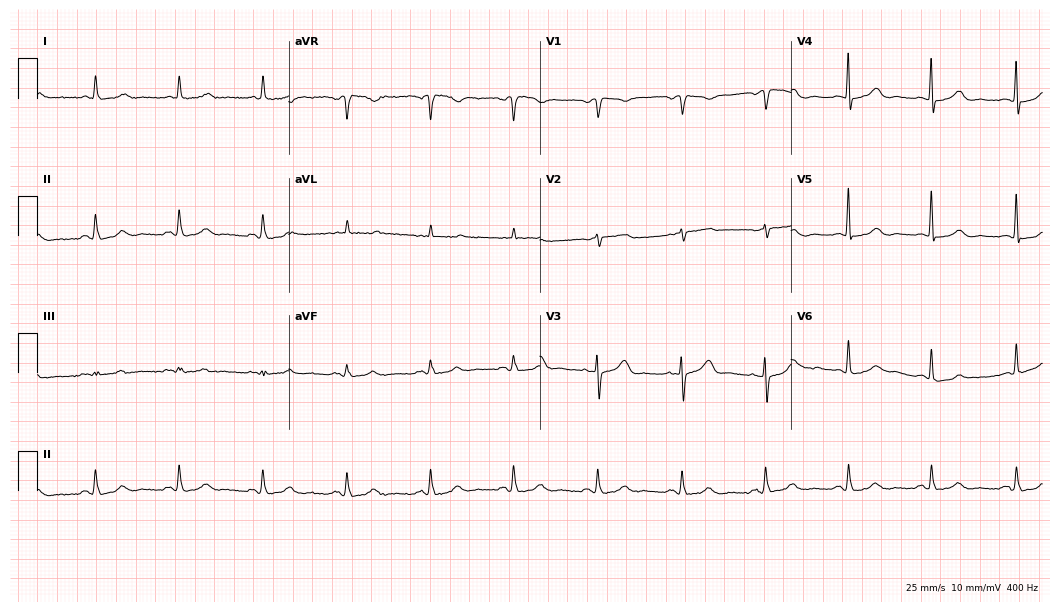
12-lead ECG (10.2-second recording at 400 Hz) from a woman, 70 years old. Labelled as a normal ECG.